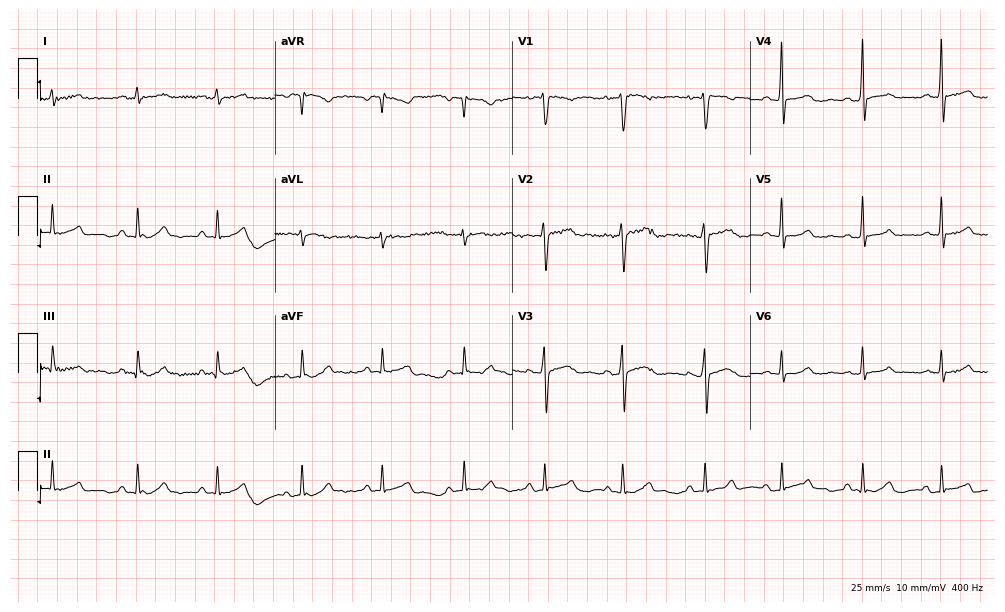
Electrocardiogram (9.7-second recording at 400 Hz), a 29-year-old female patient. Overall reading on record: normal ECG.